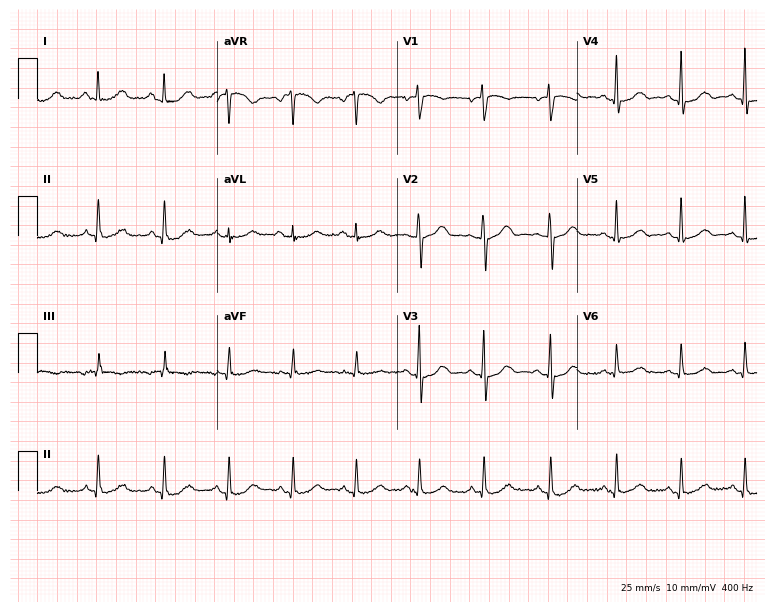
Electrocardiogram, a 53-year-old female patient. Of the six screened findings (first-degree AV block, right bundle branch block (RBBB), left bundle branch block (LBBB), sinus bradycardia, atrial fibrillation (AF), sinus tachycardia), none is recorded.